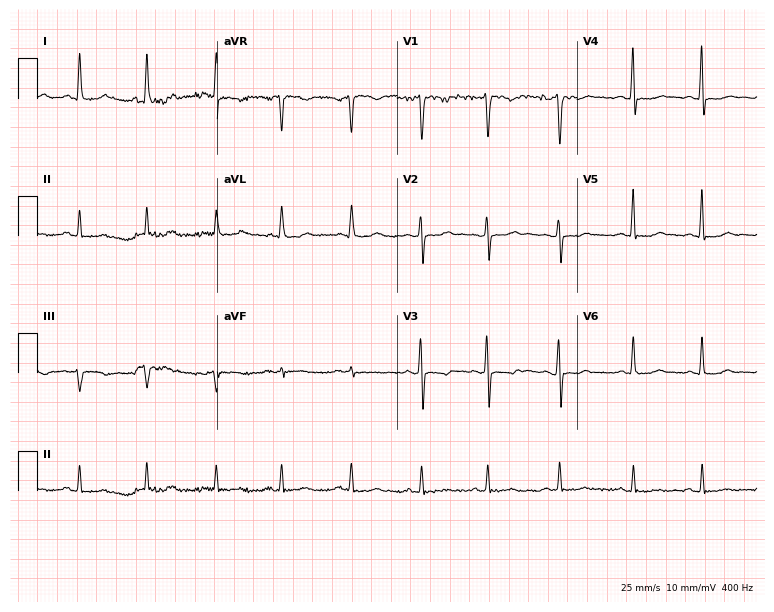
12-lead ECG (7.3-second recording at 400 Hz) from a female patient, 20 years old. Screened for six findings — first-degree AV block, right bundle branch block, left bundle branch block, sinus bradycardia, atrial fibrillation, sinus tachycardia — none is recorded.